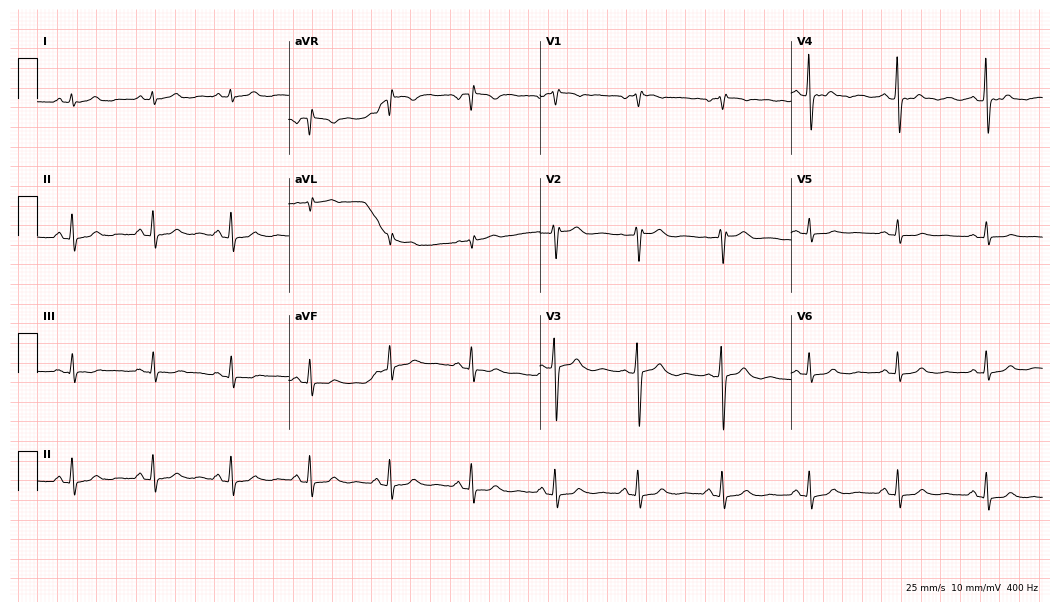
Standard 12-lead ECG recorded from a 49-year-old female. None of these six findings is recorded: first-degree AV block, right bundle branch block (RBBB), left bundle branch block (LBBB), sinus bradycardia, atrial fibrillation (AF), sinus tachycardia. Only these six findings were labelled.